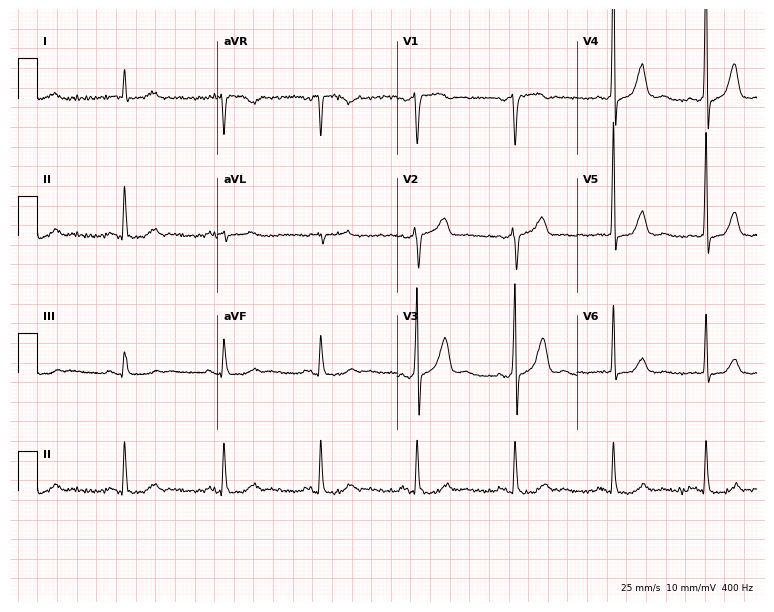
Resting 12-lead electrocardiogram. Patient: a man, 68 years old. Read as a normal ECG.